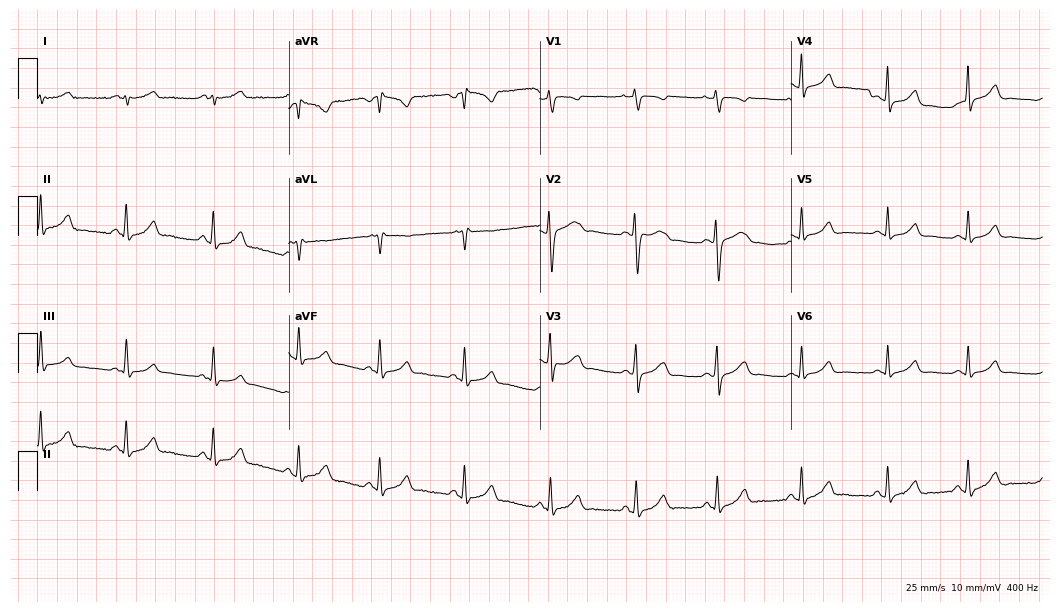
Resting 12-lead electrocardiogram. Patient: a female, 23 years old. None of these six findings is recorded: first-degree AV block, right bundle branch block, left bundle branch block, sinus bradycardia, atrial fibrillation, sinus tachycardia. Other findings, if any, are not listed.